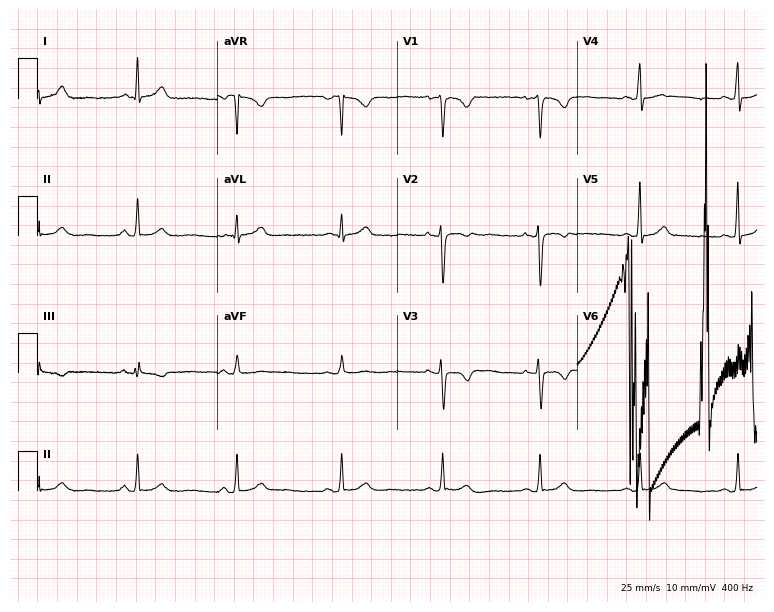
12-lead ECG from a 24-year-old female (7.3-second recording at 400 Hz). Recorded interpretation: within normal limits.